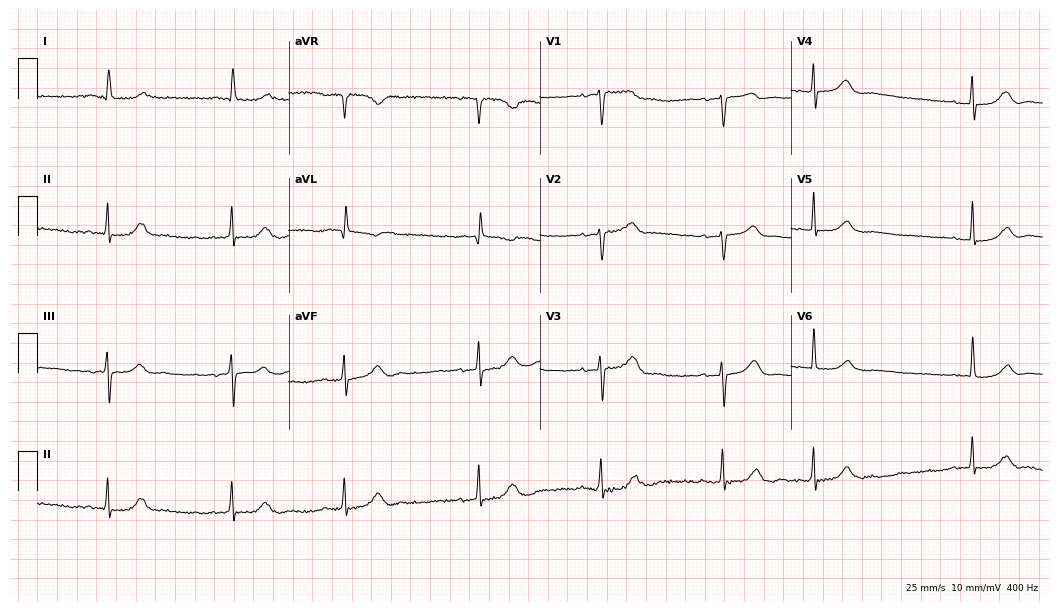
ECG — a female patient, 82 years old. Findings include sinus bradycardia (a sinus rate of 50 beats per minute or less).